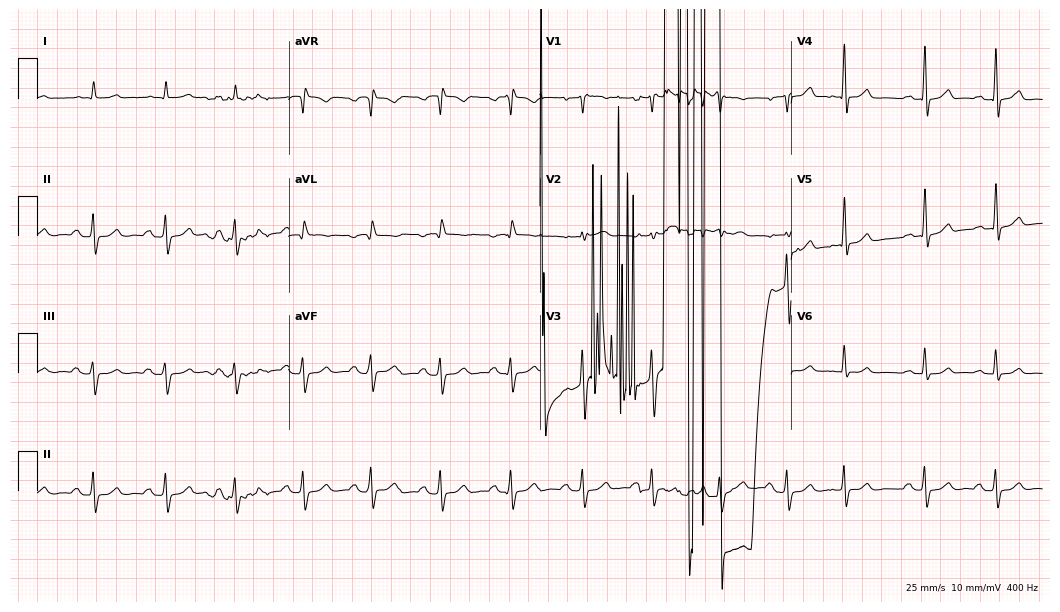
12-lead ECG from a 54-year-old man. No first-degree AV block, right bundle branch block (RBBB), left bundle branch block (LBBB), sinus bradycardia, atrial fibrillation (AF) or sinus tachycardia recorded for this tracing.